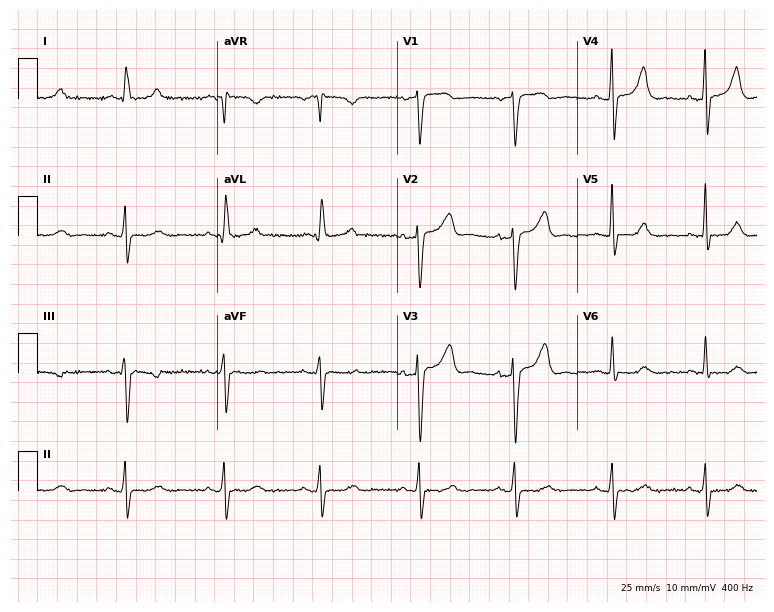
12-lead ECG from a woman, 59 years old. No first-degree AV block, right bundle branch block, left bundle branch block, sinus bradycardia, atrial fibrillation or sinus tachycardia recorded for this tracing. Only these six findings were labelled.